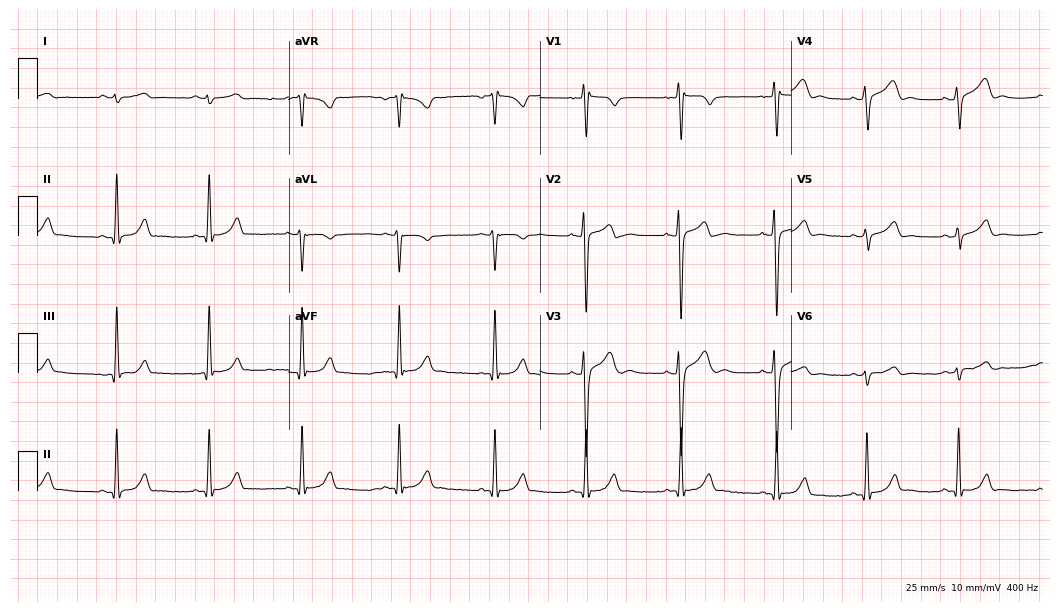
ECG — a 25-year-old male. Screened for six findings — first-degree AV block, right bundle branch block, left bundle branch block, sinus bradycardia, atrial fibrillation, sinus tachycardia — none is recorded.